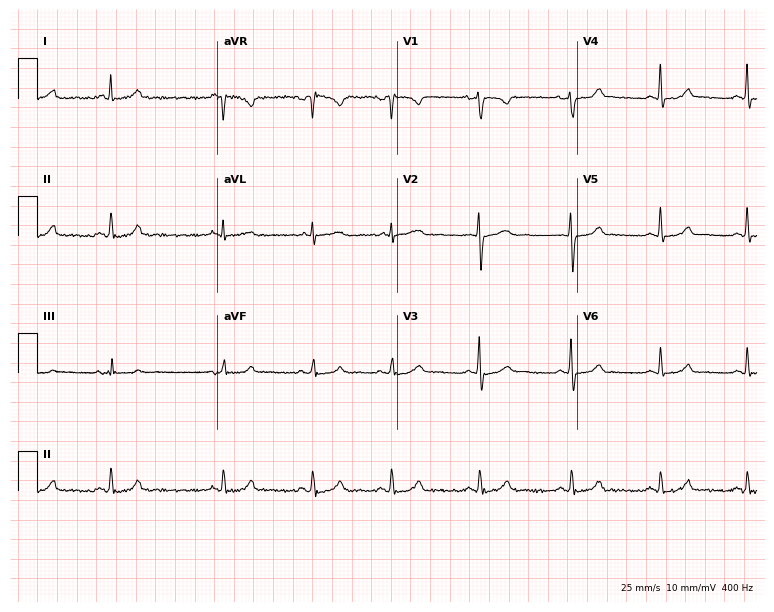
Resting 12-lead electrocardiogram. Patient: a female, 22 years old. Read as a normal ECG.